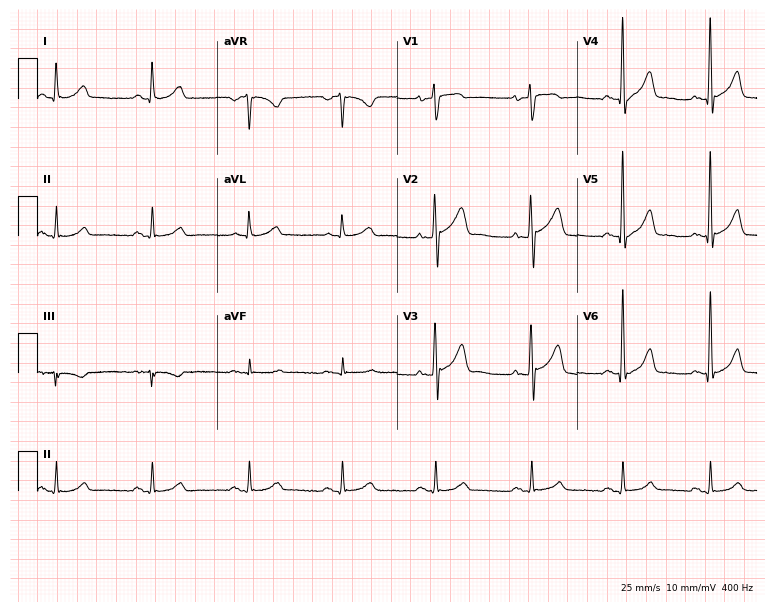
Standard 12-lead ECG recorded from a man, 59 years old. Read as a normal ECG.